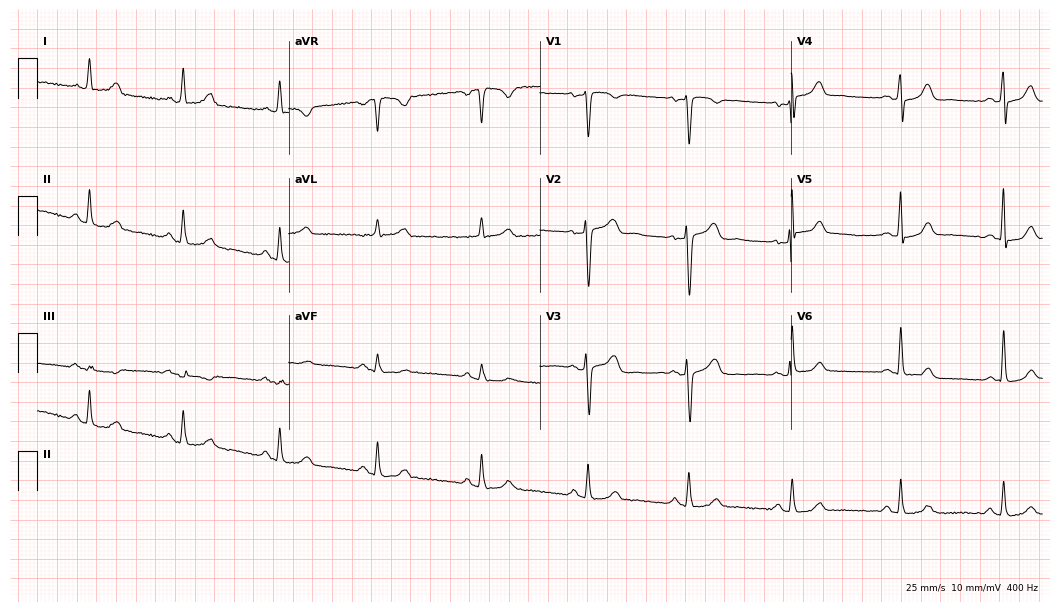
12-lead ECG from a 51-year-old female patient. Recorded interpretation: within normal limits.